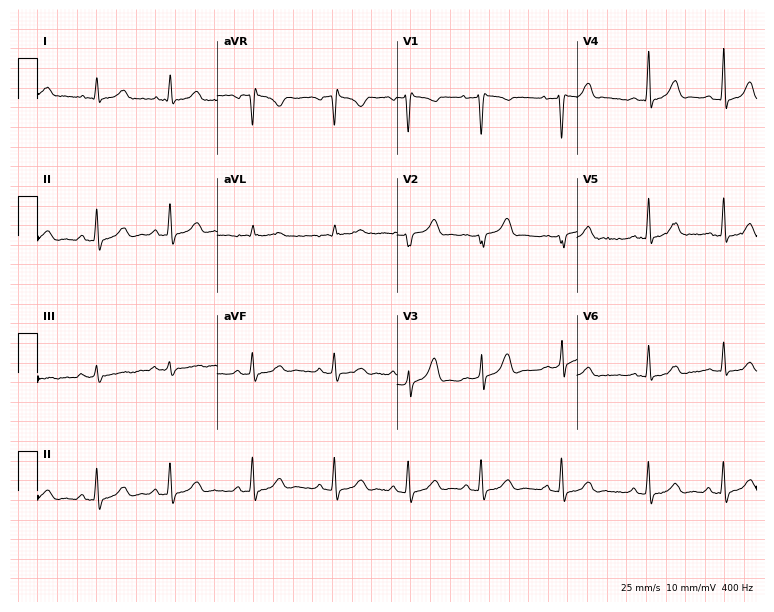
12-lead ECG from a 28-year-old woman. Screened for six findings — first-degree AV block, right bundle branch block, left bundle branch block, sinus bradycardia, atrial fibrillation, sinus tachycardia — none is recorded. Findings outside these six are not listed.